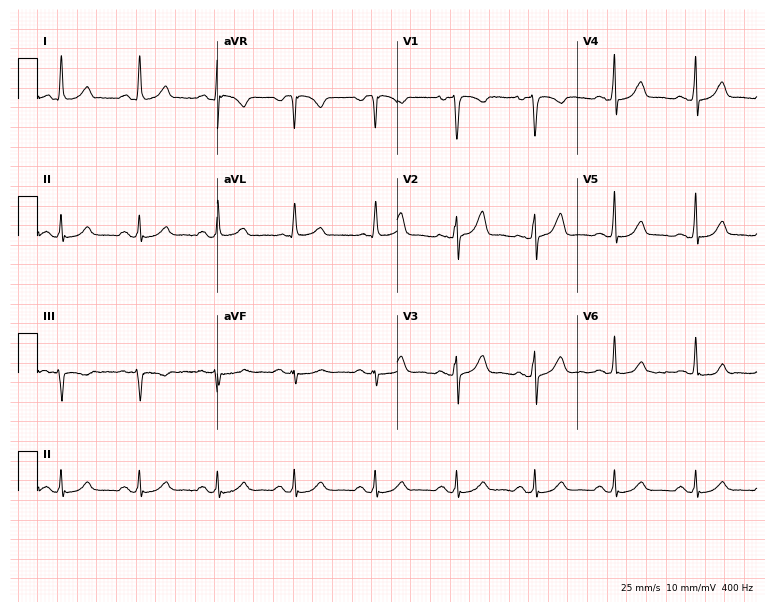
Electrocardiogram, a female, 58 years old. Overall reading on record: normal ECG.